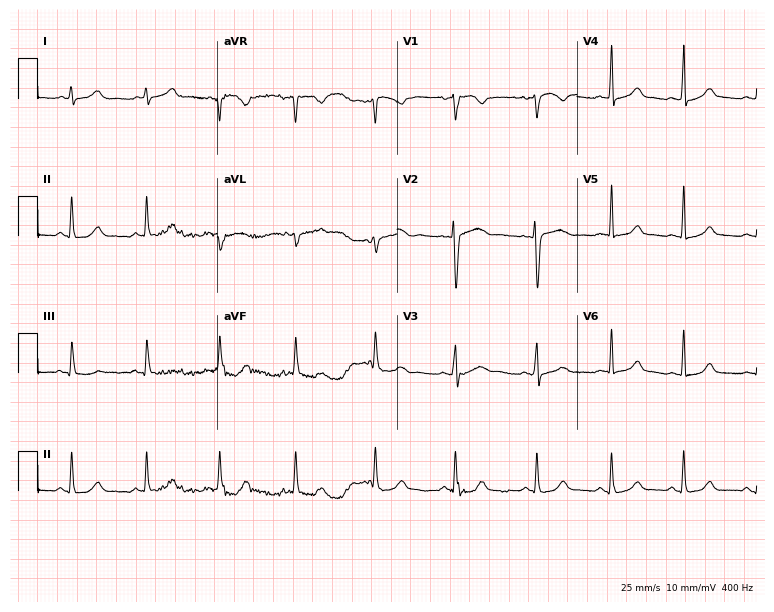
12-lead ECG (7.3-second recording at 400 Hz) from a 28-year-old female patient. Labelled as a normal ECG.